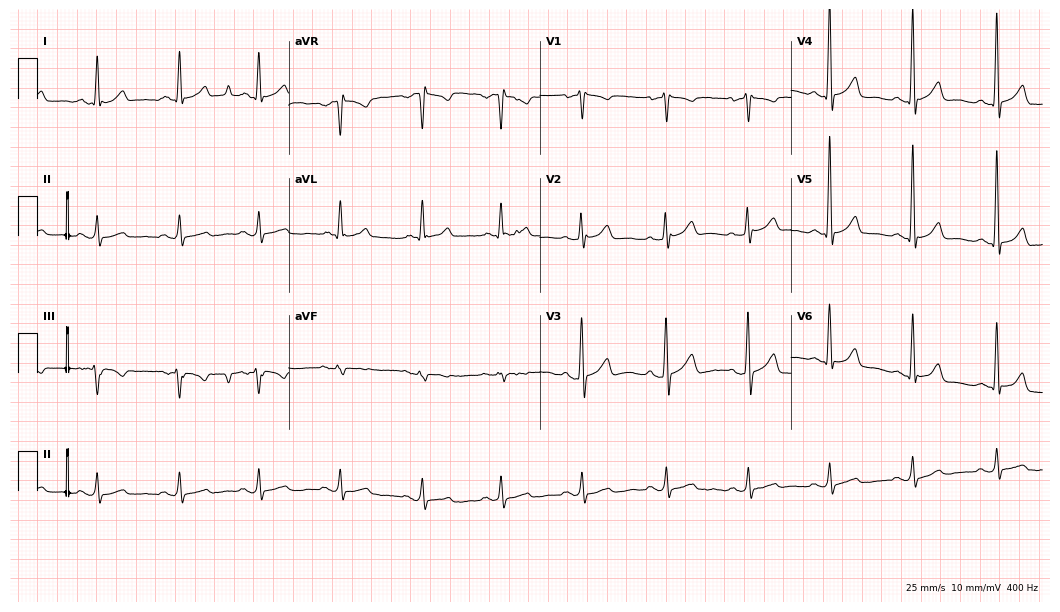
ECG (10.2-second recording at 400 Hz) — a man, 51 years old. Screened for six findings — first-degree AV block, right bundle branch block, left bundle branch block, sinus bradycardia, atrial fibrillation, sinus tachycardia — none is recorded.